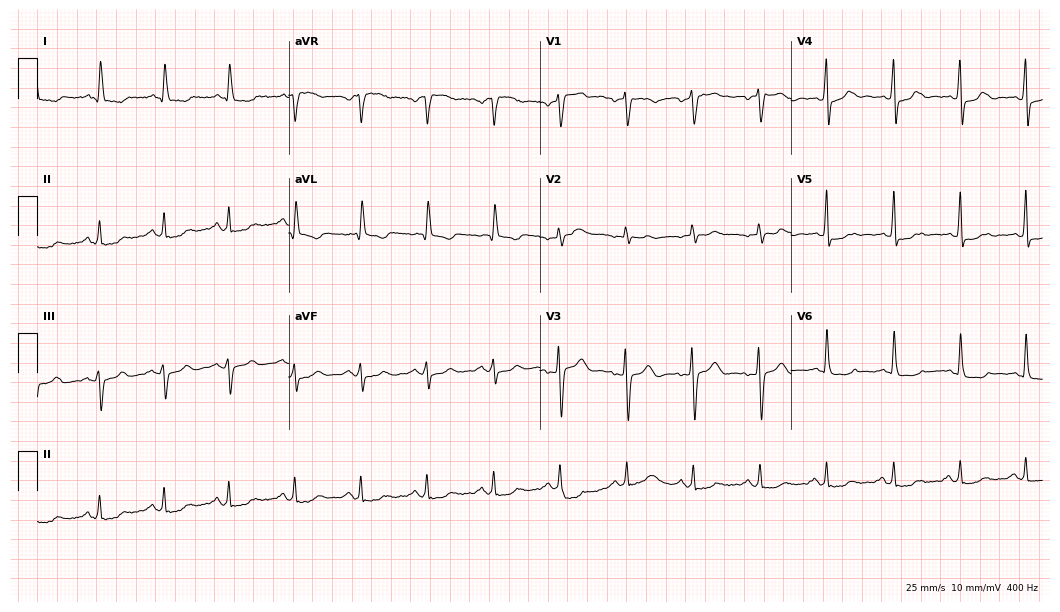
12-lead ECG from a 68-year-old woman. No first-degree AV block, right bundle branch block, left bundle branch block, sinus bradycardia, atrial fibrillation or sinus tachycardia recorded for this tracing.